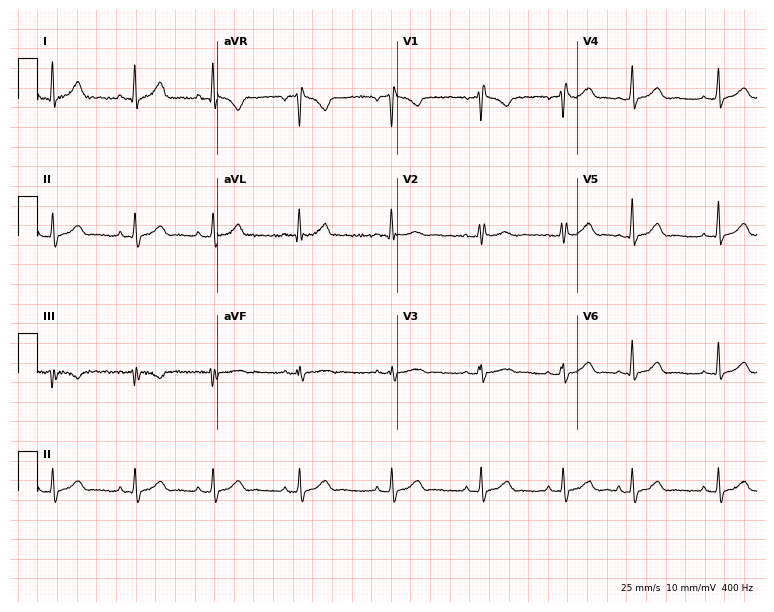
Electrocardiogram, a 33-year-old woman. Overall reading on record: normal ECG.